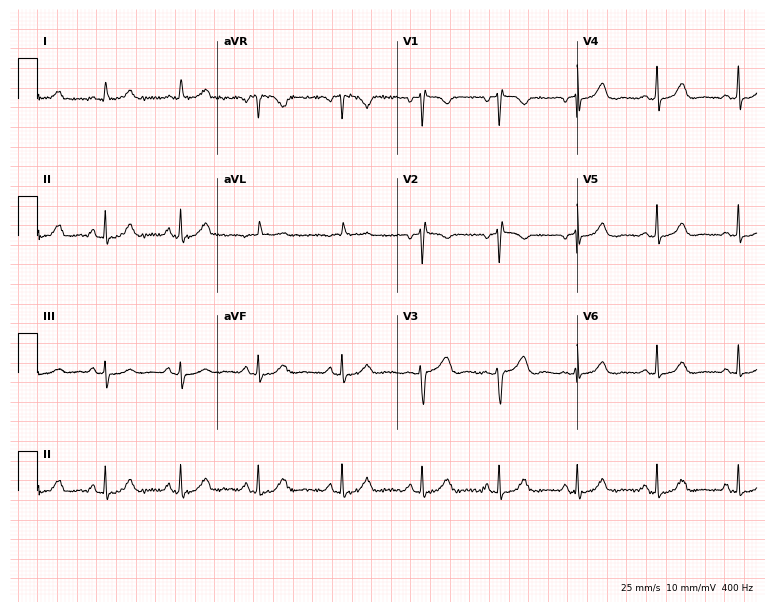
Electrocardiogram, a 38-year-old female patient. Overall reading on record: normal ECG.